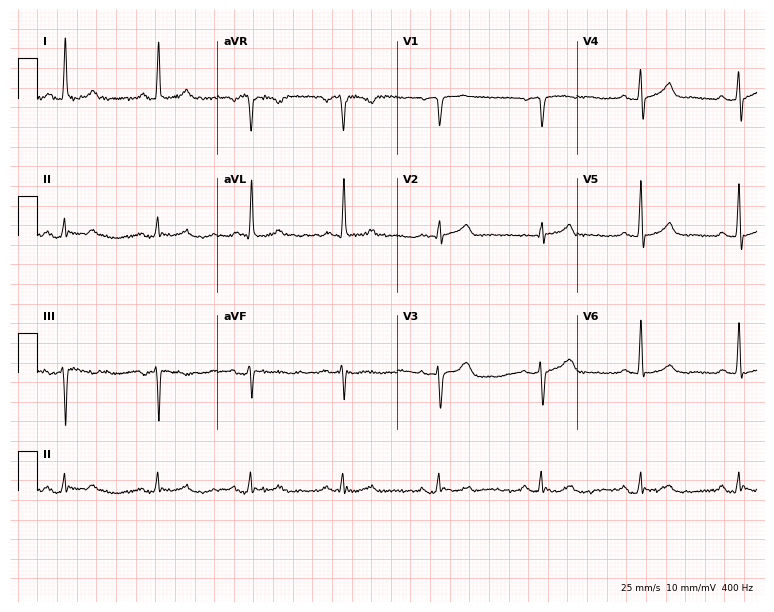
Standard 12-lead ECG recorded from a female patient, 78 years old. Read as a normal ECG.